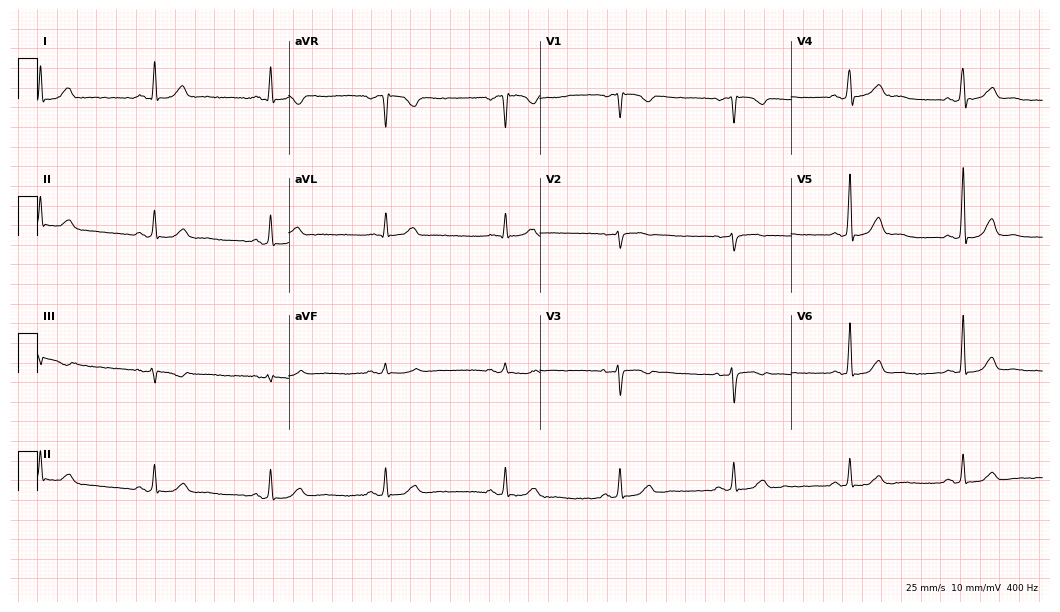
12-lead ECG from a female, 55 years old. No first-degree AV block, right bundle branch block (RBBB), left bundle branch block (LBBB), sinus bradycardia, atrial fibrillation (AF) or sinus tachycardia recorded for this tracing. Other findings, if any, are not listed.